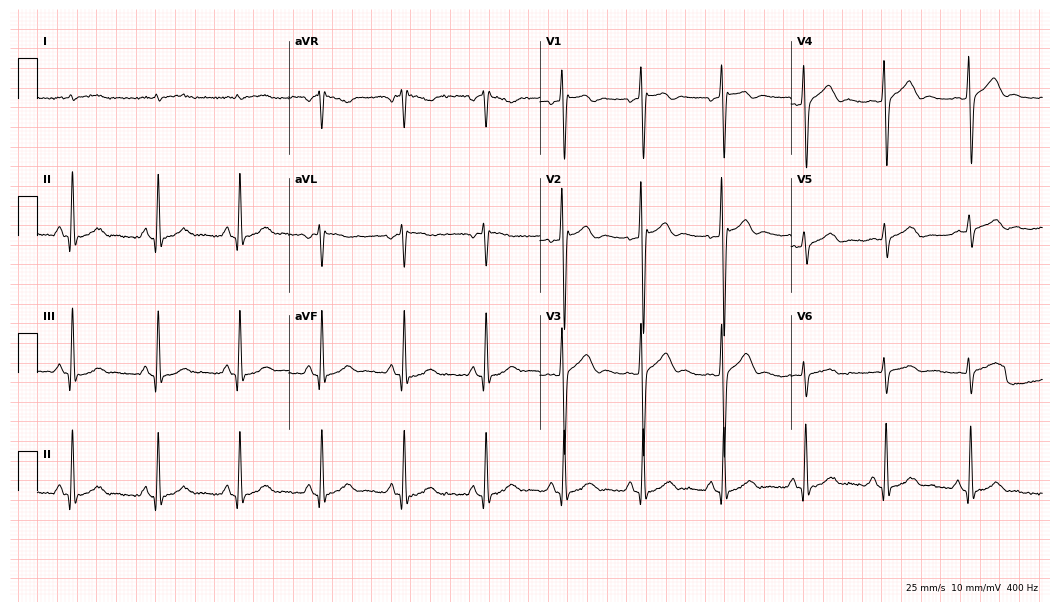
12-lead ECG from a 44-year-old male patient. No first-degree AV block, right bundle branch block (RBBB), left bundle branch block (LBBB), sinus bradycardia, atrial fibrillation (AF) or sinus tachycardia recorded for this tracing.